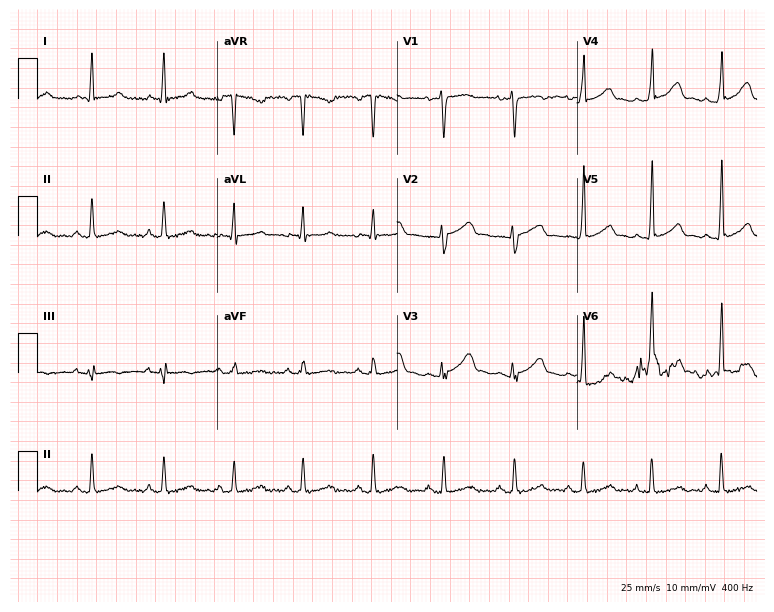
ECG (7.3-second recording at 400 Hz) — a 33-year-old female patient. Labelled as a normal ECG.